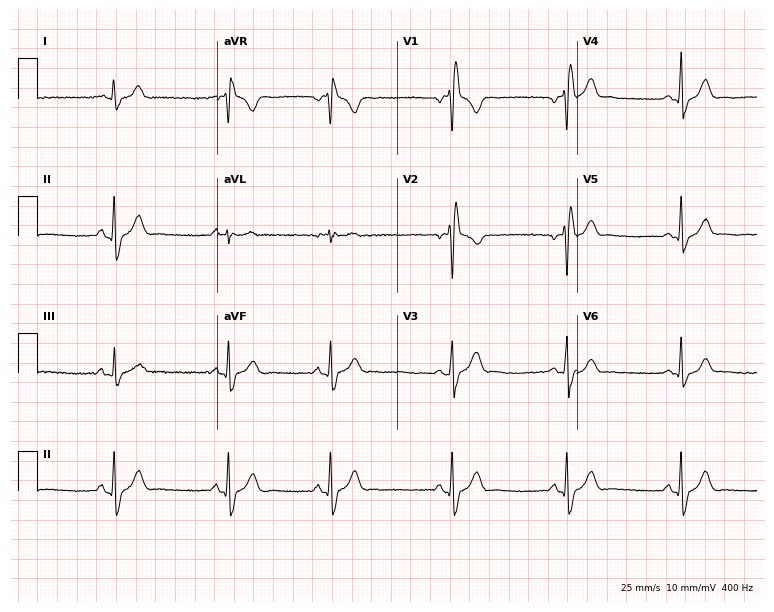
12-lead ECG from a 23-year-old male patient (7.3-second recording at 400 Hz). Shows right bundle branch block (RBBB).